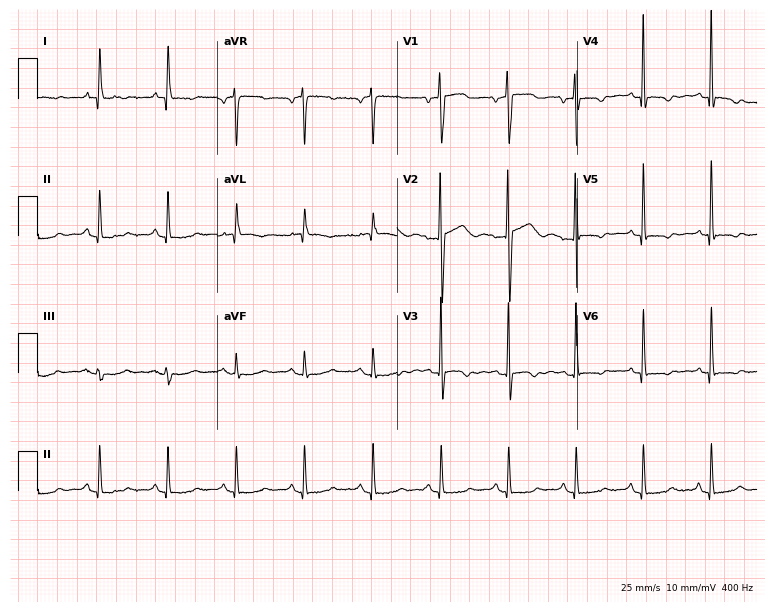
ECG (7.3-second recording at 400 Hz) — a female, 76 years old. Screened for six findings — first-degree AV block, right bundle branch block, left bundle branch block, sinus bradycardia, atrial fibrillation, sinus tachycardia — none is recorded. Other findings, if any, are not listed.